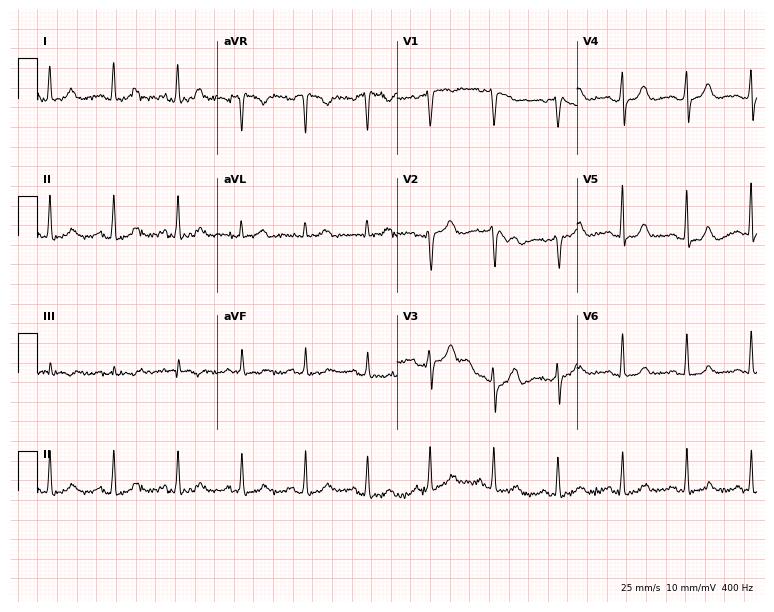
Standard 12-lead ECG recorded from a 42-year-old female patient. Read as a normal ECG.